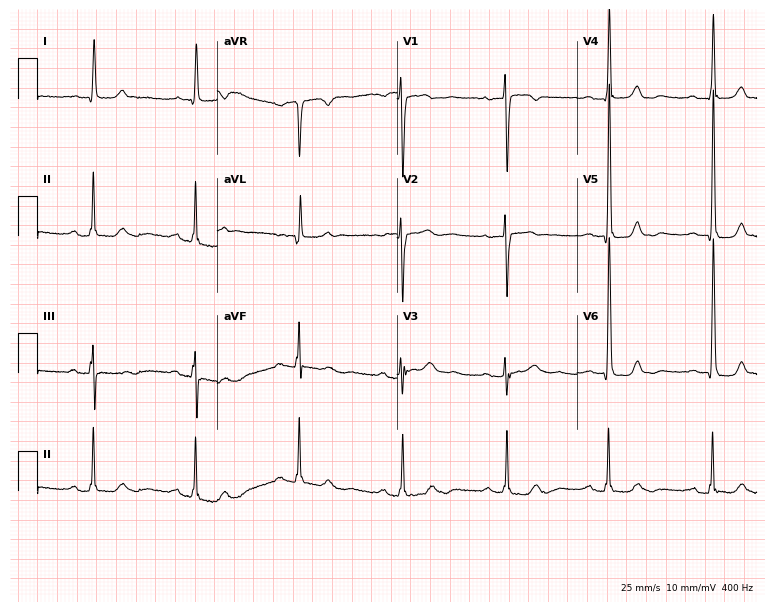
Electrocardiogram (7.3-second recording at 400 Hz), an 82-year-old female patient. Overall reading on record: normal ECG.